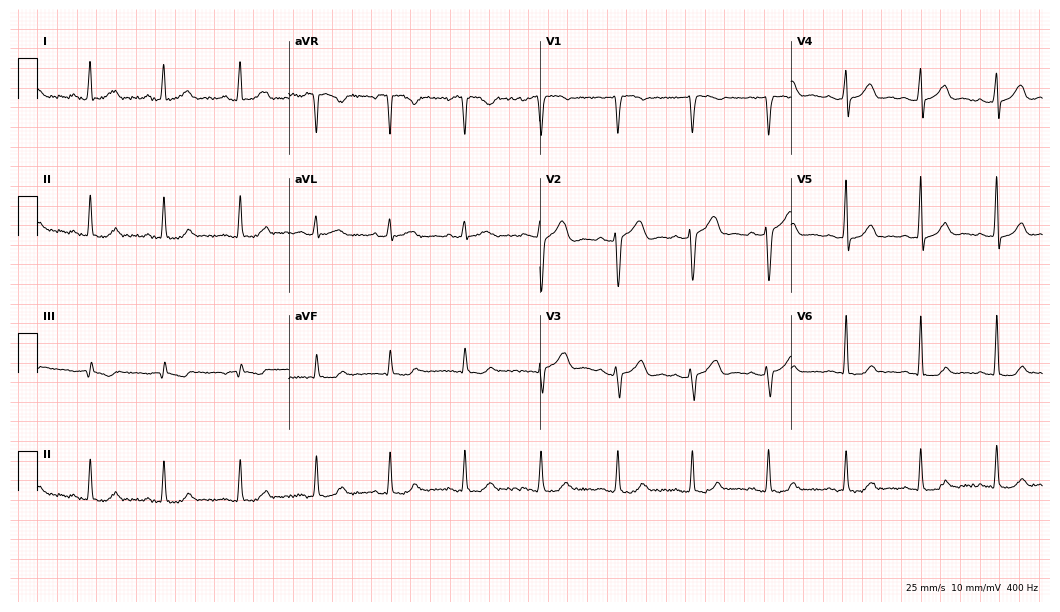
12-lead ECG from a female, 36 years old. Labelled as a normal ECG.